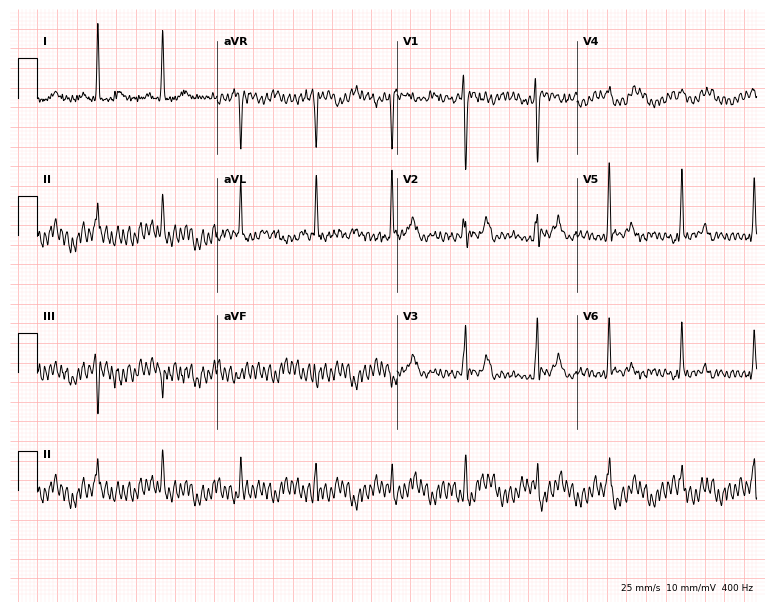
12-lead ECG (7.3-second recording at 400 Hz) from a 75-year-old female patient. Screened for six findings — first-degree AV block, right bundle branch block, left bundle branch block, sinus bradycardia, atrial fibrillation, sinus tachycardia — none is recorded. Other findings, if any, are not listed.